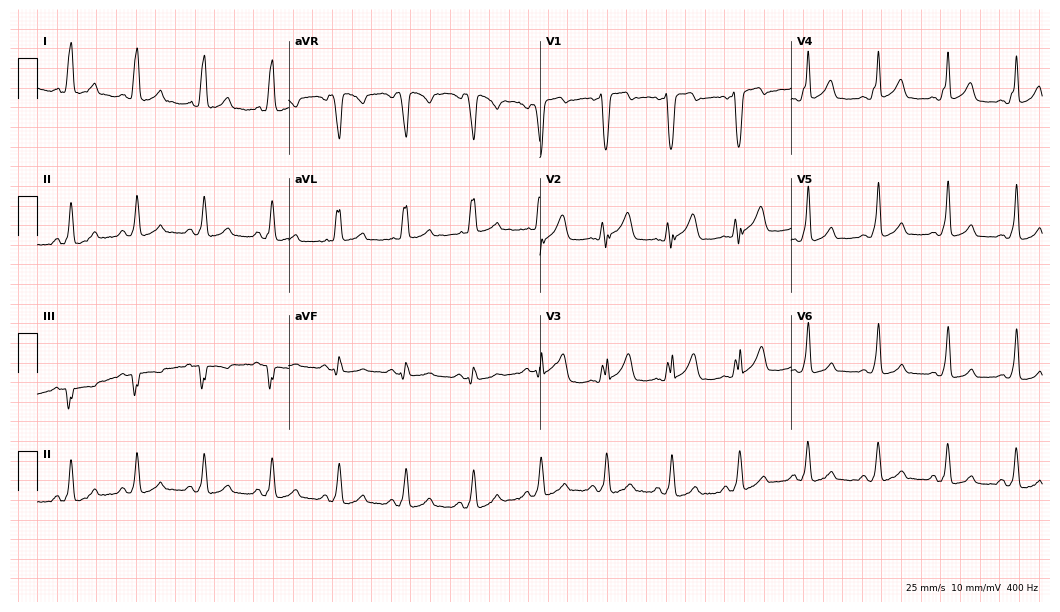
12-lead ECG from a 34-year-old man (10.2-second recording at 400 Hz). No first-degree AV block, right bundle branch block, left bundle branch block, sinus bradycardia, atrial fibrillation or sinus tachycardia recorded for this tracing. Only these six findings were labelled.